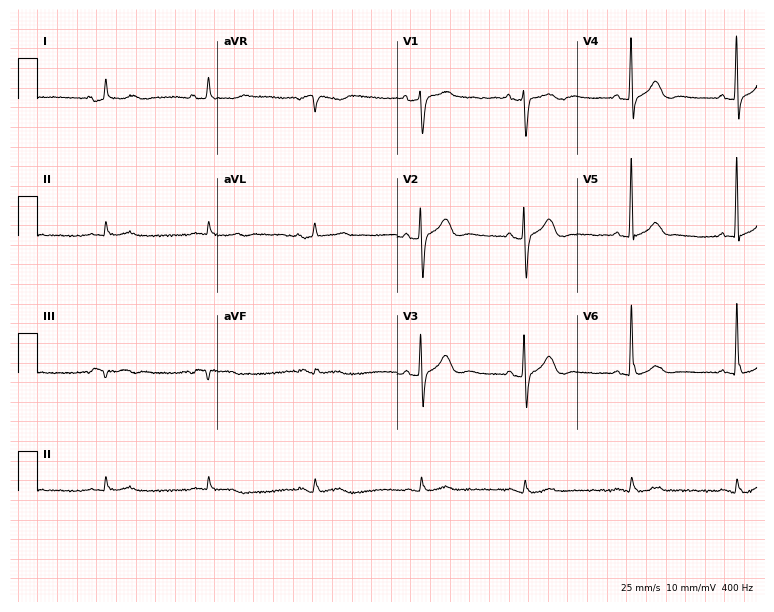
12-lead ECG from a 67-year-old female. No first-degree AV block, right bundle branch block, left bundle branch block, sinus bradycardia, atrial fibrillation or sinus tachycardia recorded for this tracing. Findings outside these six are not listed.